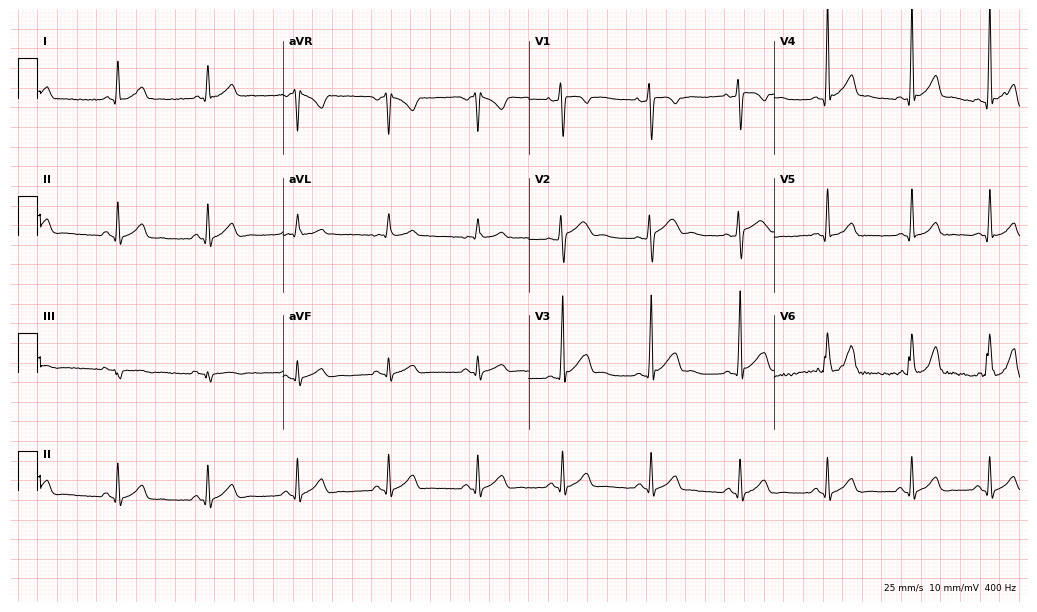
Standard 12-lead ECG recorded from a male patient, 19 years old. Read as a normal ECG.